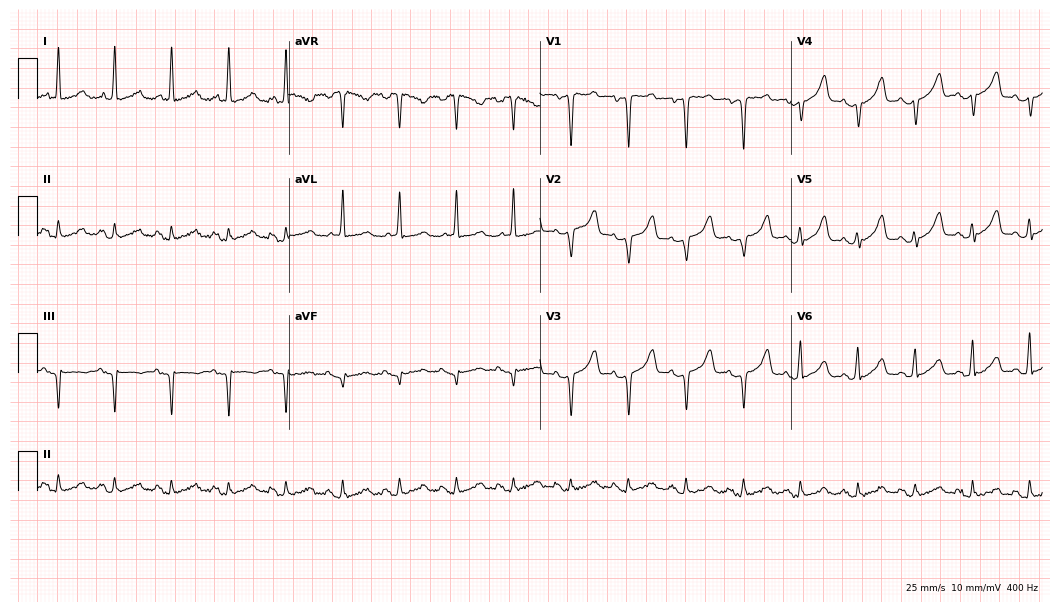
ECG (10.2-second recording at 400 Hz) — a woman, 57 years old. Findings include sinus tachycardia (a sinus rate of 100 beats per minute or more).